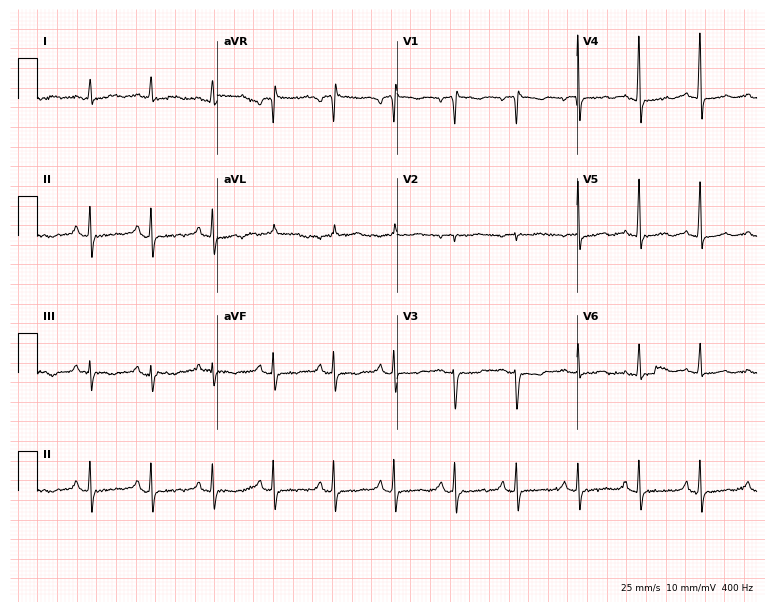
ECG (7.3-second recording at 400 Hz) — a woman, 80 years old. Screened for six findings — first-degree AV block, right bundle branch block (RBBB), left bundle branch block (LBBB), sinus bradycardia, atrial fibrillation (AF), sinus tachycardia — none is recorded.